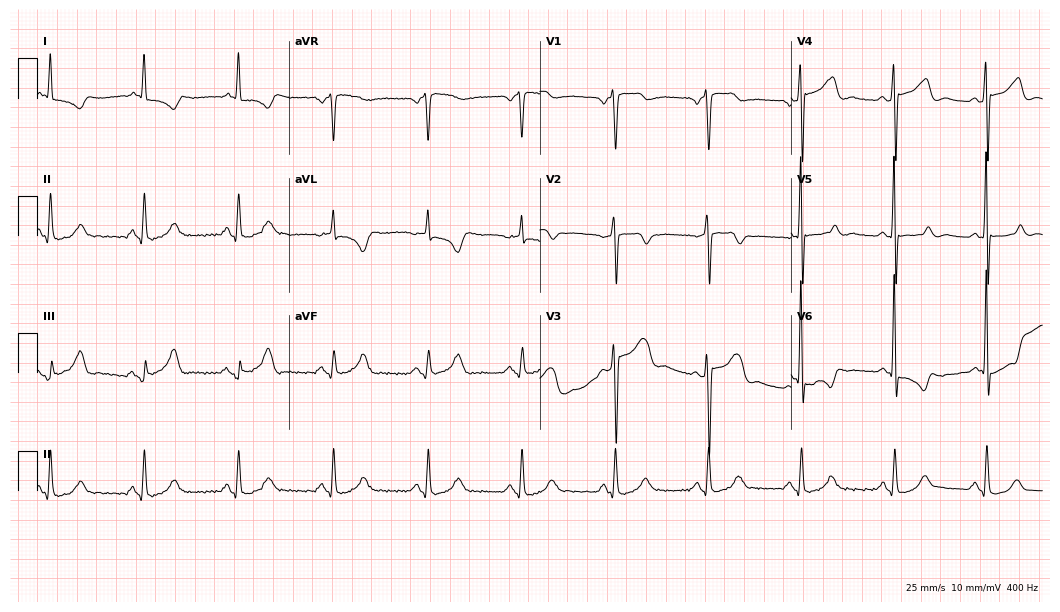
12-lead ECG from a 53-year-old man. Screened for six findings — first-degree AV block, right bundle branch block (RBBB), left bundle branch block (LBBB), sinus bradycardia, atrial fibrillation (AF), sinus tachycardia — none is recorded.